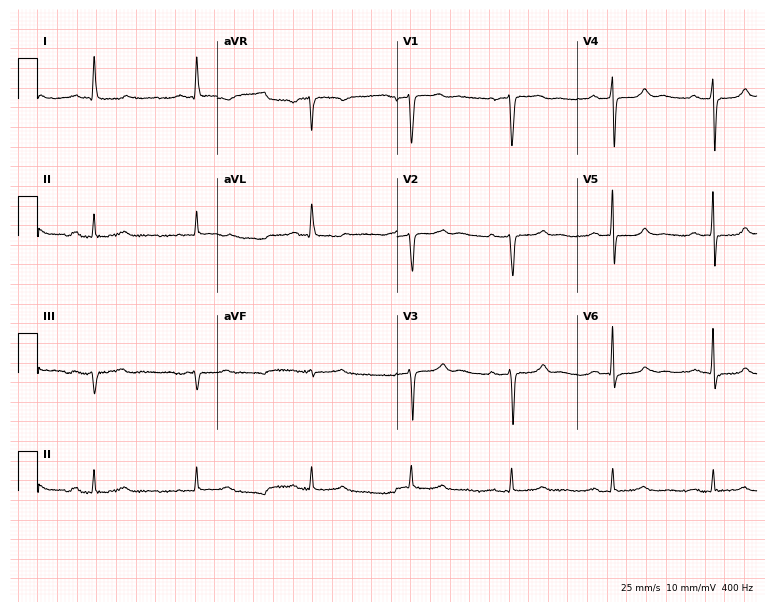
Standard 12-lead ECG recorded from a 77-year-old man. None of these six findings is recorded: first-degree AV block, right bundle branch block, left bundle branch block, sinus bradycardia, atrial fibrillation, sinus tachycardia.